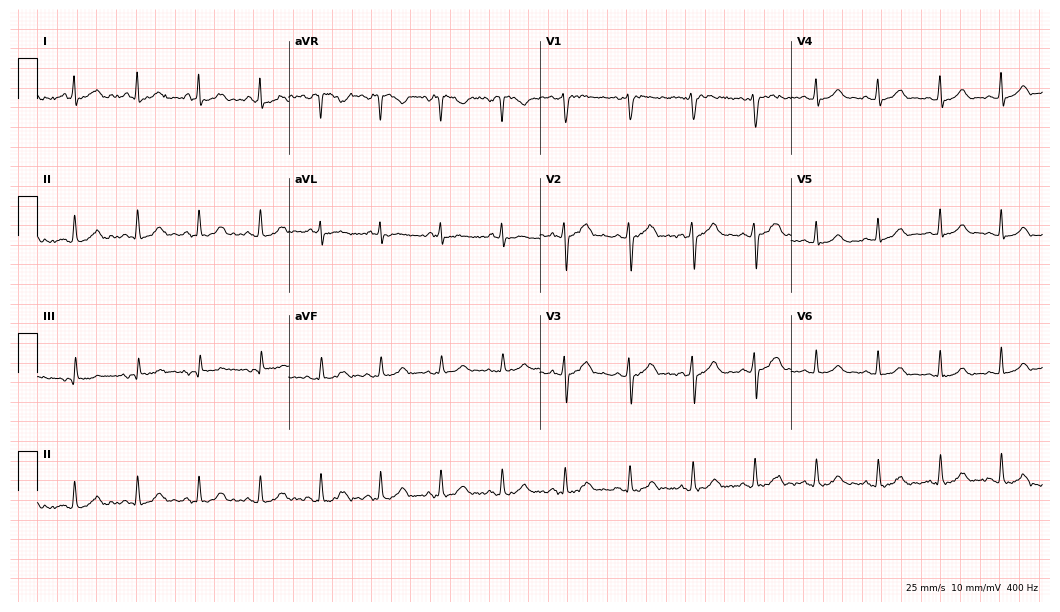
12-lead ECG from a 29-year-old female (10.2-second recording at 400 Hz). No first-degree AV block, right bundle branch block, left bundle branch block, sinus bradycardia, atrial fibrillation or sinus tachycardia recorded for this tracing. Only these six findings were labelled.